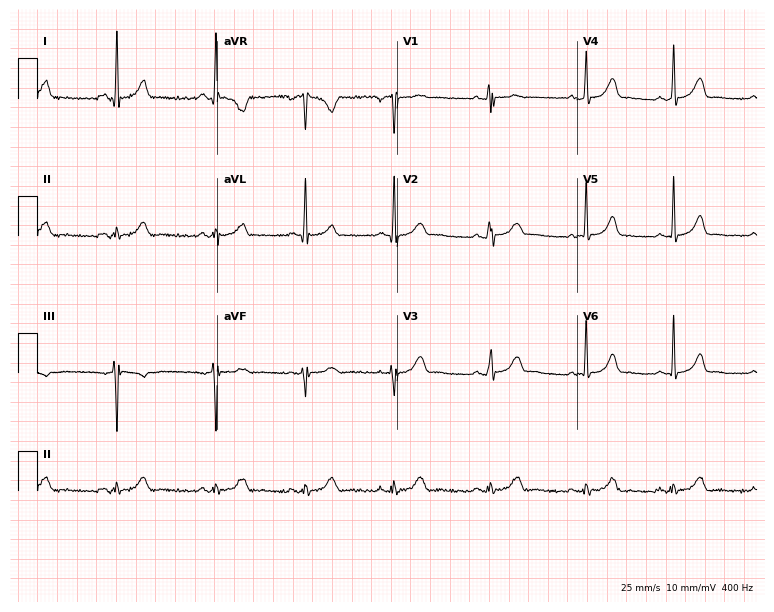
Standard 12-lead ECG recorded from a female patient, 34 years old (7.3-second recording at 400 Hz). Read as a normal ECG.